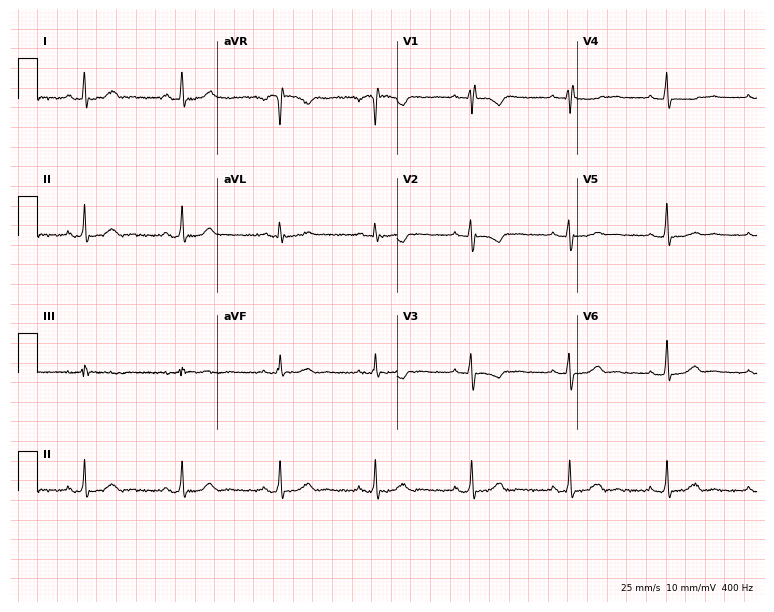
12-lead ECG (7.3-second recording at 400 Hz) from a female patient, 37 years old. Screened for six findings — first-degree AV block, right bundle branch block (RBBB), left bundle branch block (LBBB), sinus bradycardia, atrial fibrillation (AF), sinus tachycardia — none is recorded. Only these six findings were labelled.